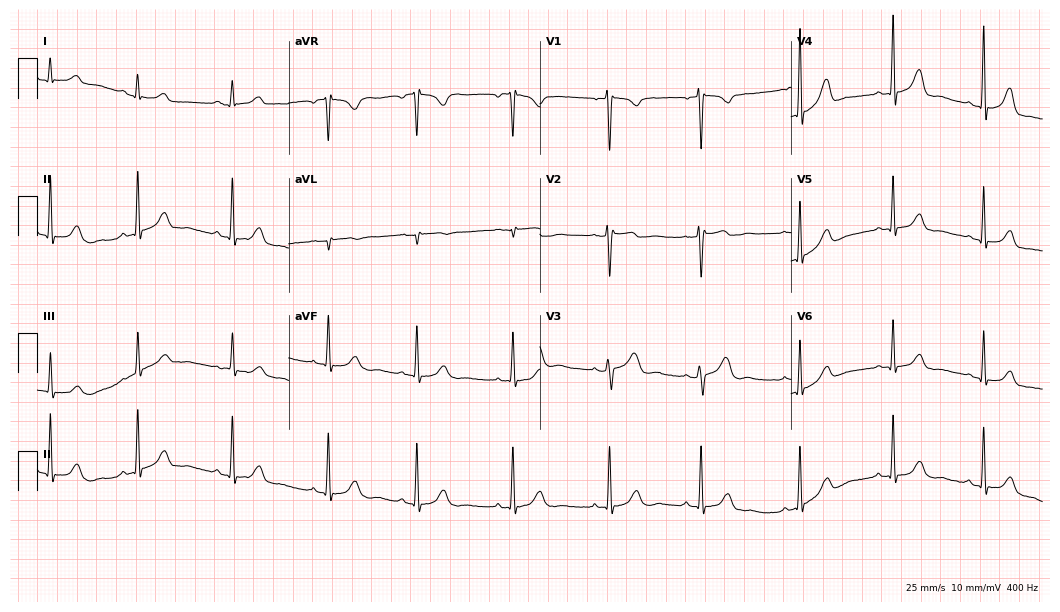
12-lead ECG from a 27-year-old woman (10.2-second recording at 400 Hz). Recorded interpretation: within normal limits.